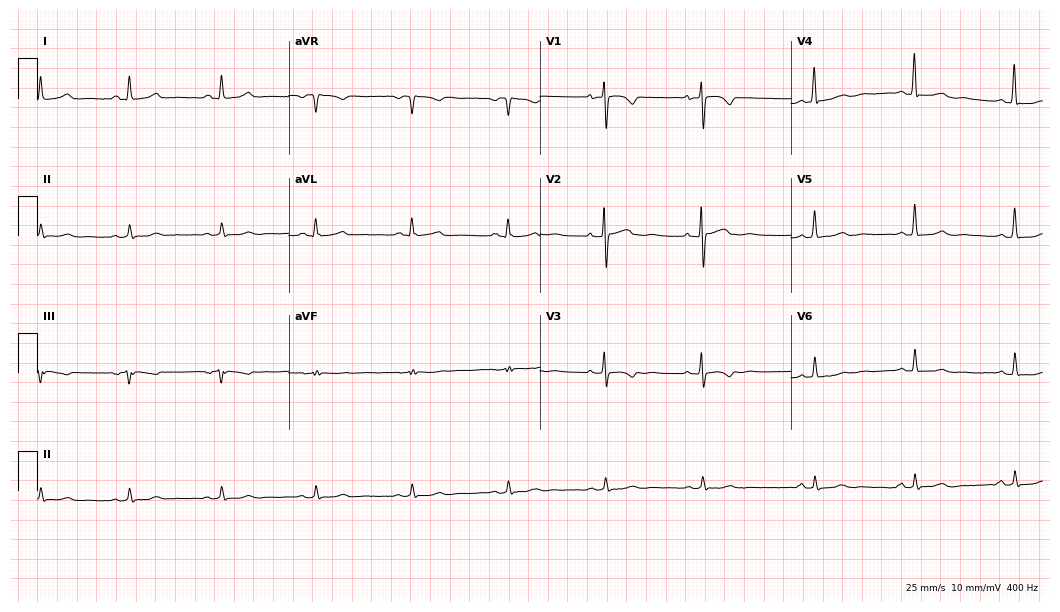
ECG (10.2-second recording at 400 Hz) — a 60-year-old female patient. Labelled as a normal ECG.